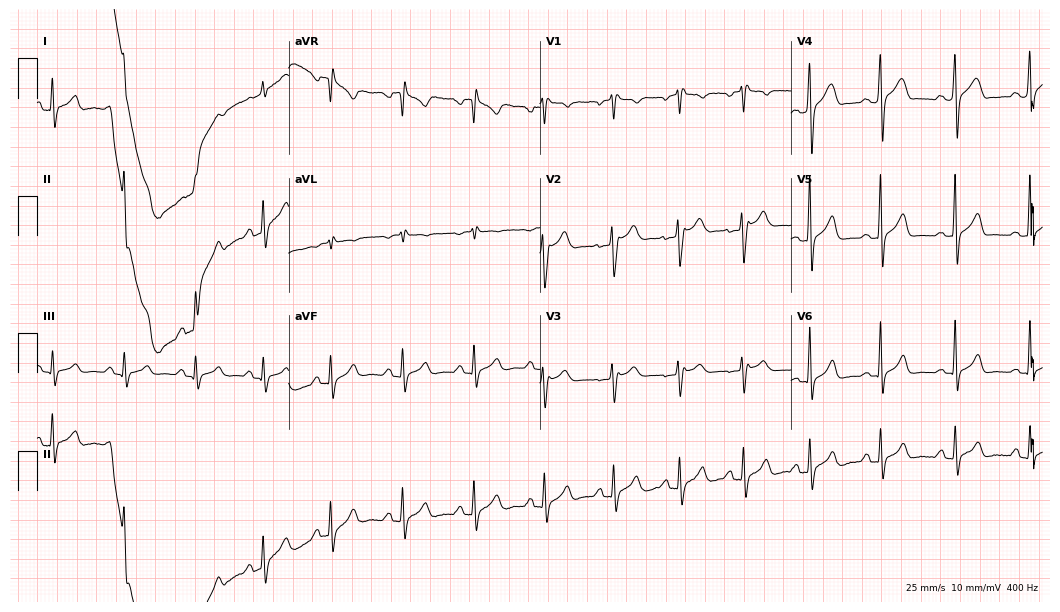
12-lead ECG from a 26-year-old male. Screened for six findings — first-degree AV block, right bundle branch block, left bundle branch block, sinus bradycardia, atrial fibrillation, sinus tachycardia — none is recorded.